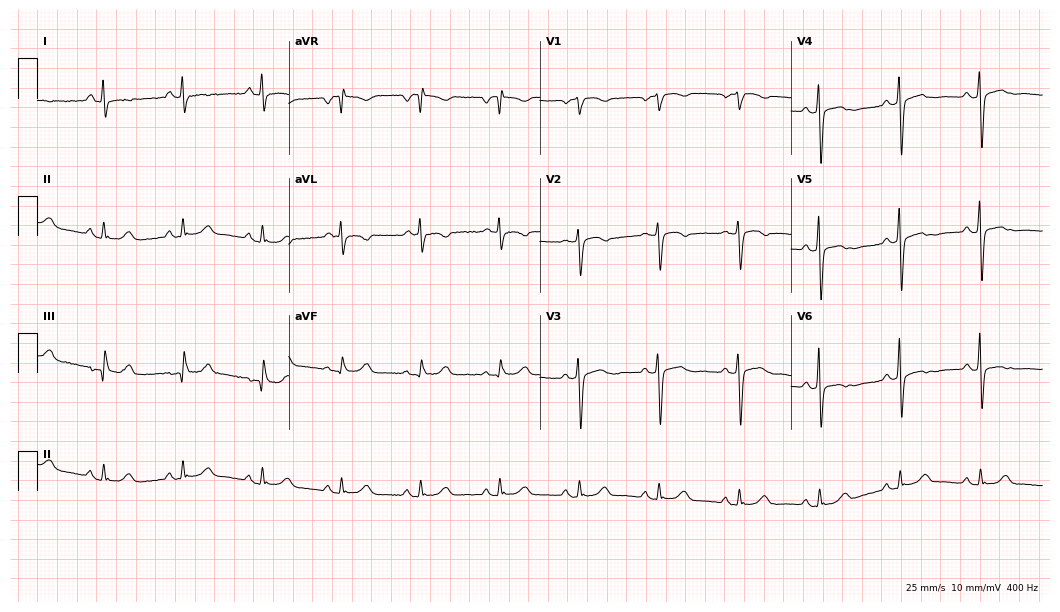
Standard 12-lead ECG recorded from a 63-year-old female. None of these six findings is recorded: first-degree AV block, right bundle branch block, left bundle branch block, sinus bradycardia, atrial fibrillation, sinus tachycardia.